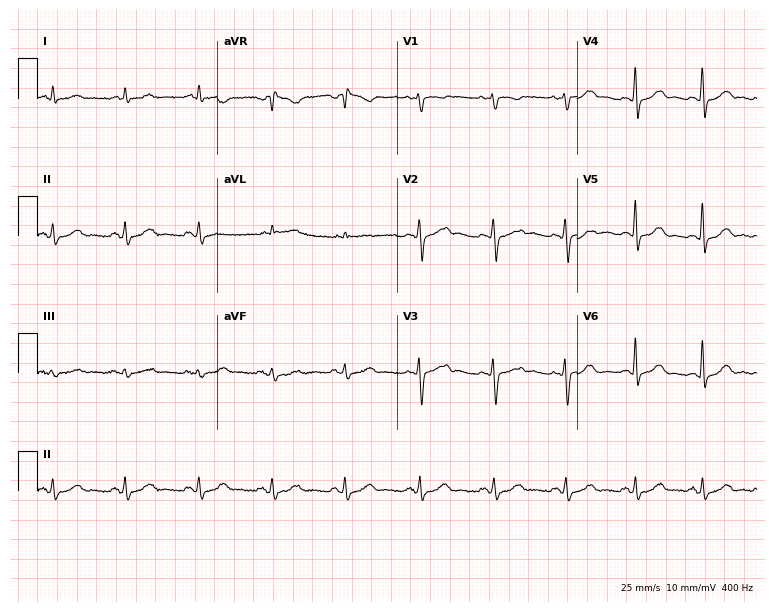
Resting 12-lead electrocardiogram (7.3-second recording at 400 Hz). Patient: a 48-year-old female. None of these six findings is recorded: first-degree AV block, right bundle branch block, left bundle branch block, sinus bradycardia, atrial fibrillation, sinus tachycardia.